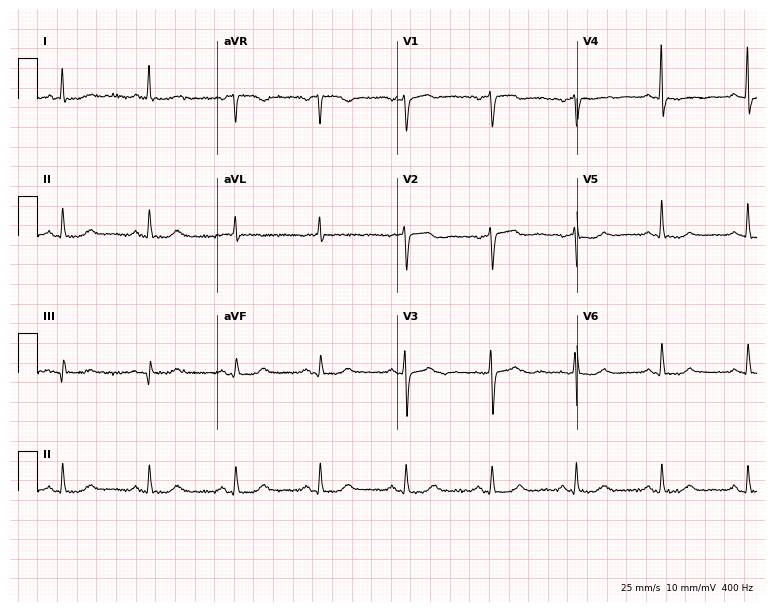
Resting 12-lead electrocardiogram (7.3-second recording at 400 Hz). Patient: a female, 64 years old. None of these six findings is recorded: first-degree AV block, right bundle branch block (RBBB), left bundle branch block (LBBB), sinus bradycardia, atrial fibrillation (AF), sinus tachycardia.